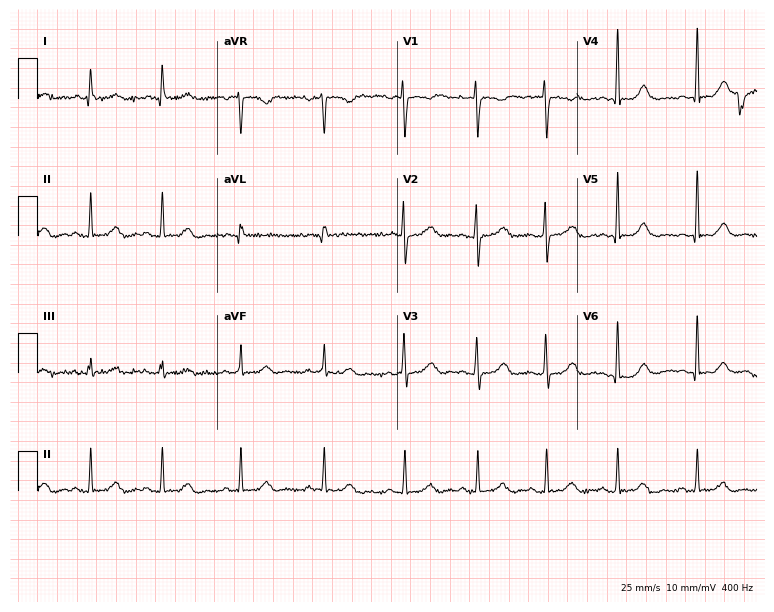
ECG — a female patient, 32 years old. Labelled as a normal ECG.